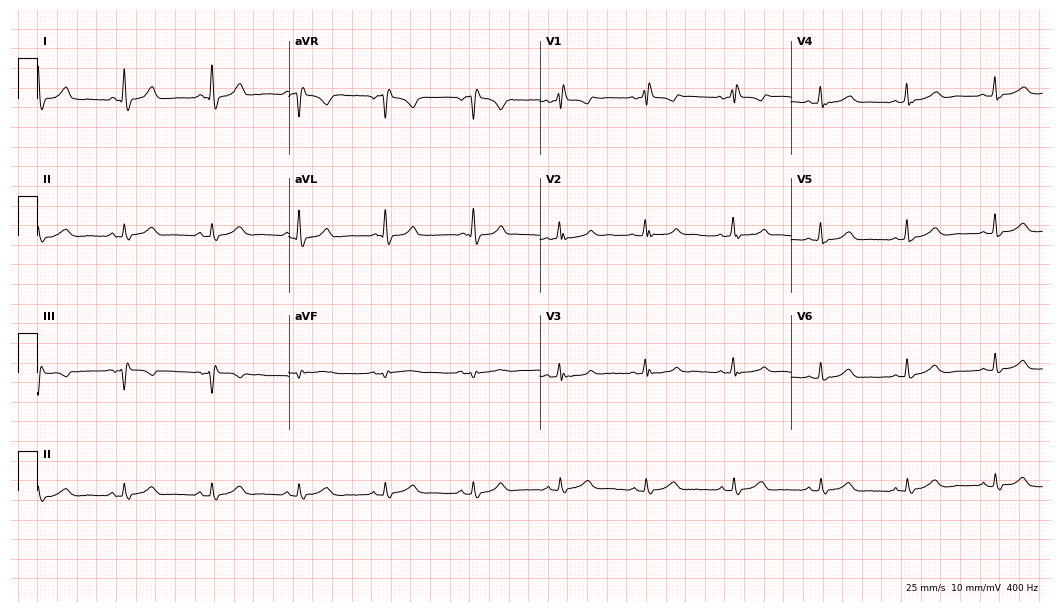
Resting 12-lead electrocardiogram (10.2-second recording at 400 Hz). Patient: a 62-year-old female. None of these six findings is recorded: first-degree AV block, right bundle branch block, left bundle branch block, sinus bradycardia, atrial fibrillation, sinus tachycardia. Other findings, if any, are not listed.